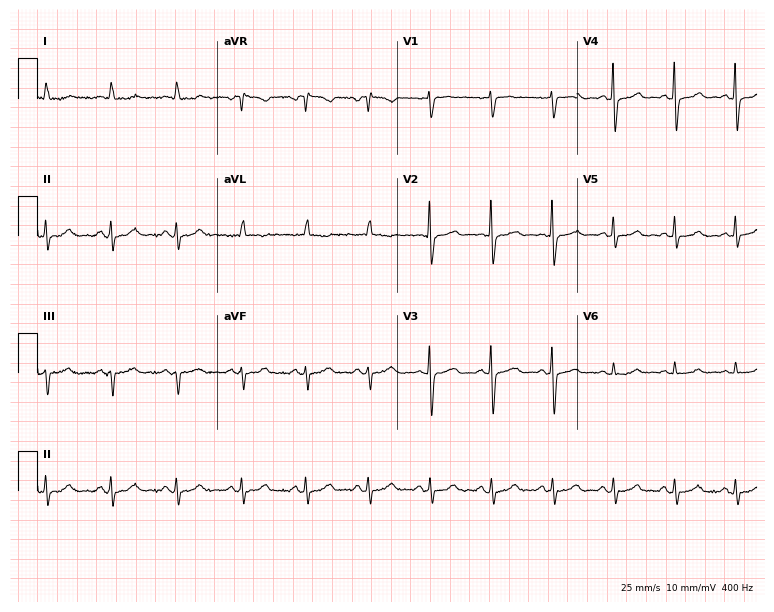
Standard 12-lead ECG recorded from a 69-year-old female patient. Read as a normal ECG.